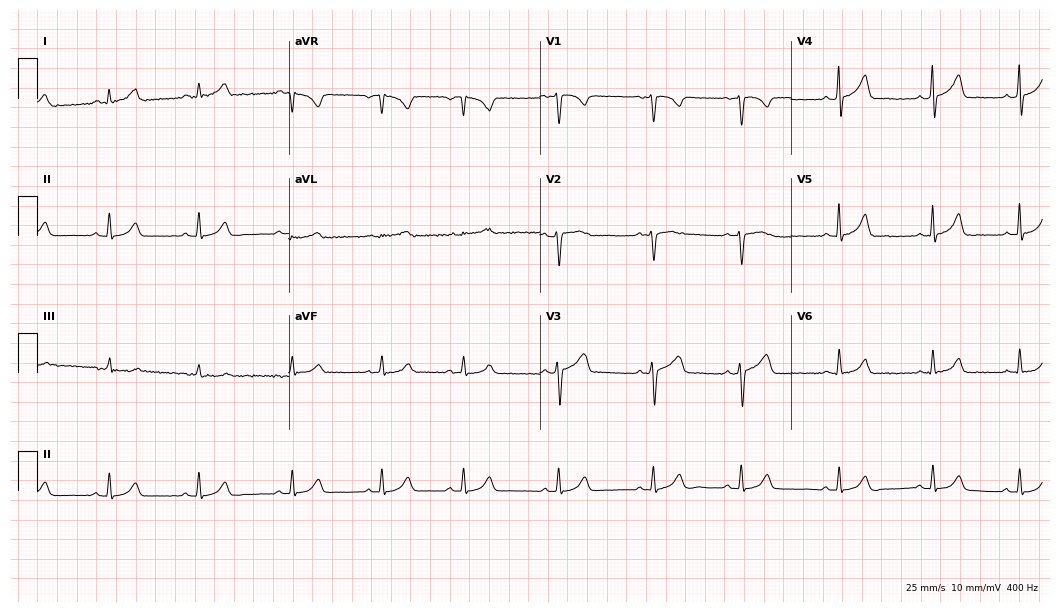
Resting 12-lead electrocardiogram (10.2-second recording at 400 Hz). Patient: a 35-year-old female. Read as a normal ECG.